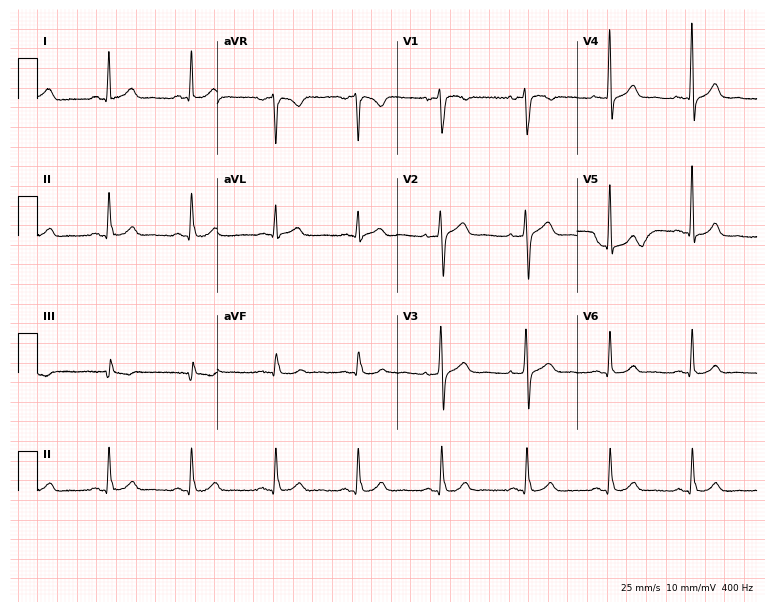
Standard 12-lead ECG recorded from a woman, 46 years old (7.3-second recording at 400 Hz). Read as a normal ECG.